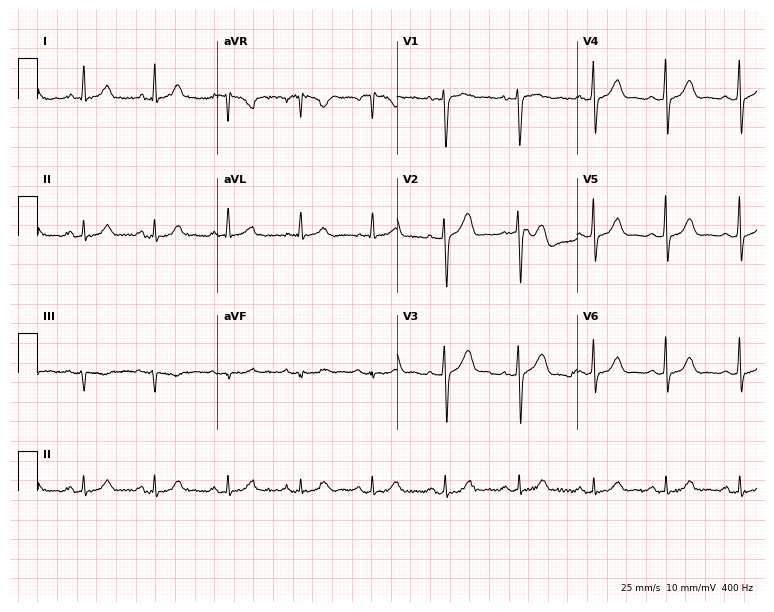
12-lead ECG from a 44-year-old female patient. Labelled as a normal ECG.